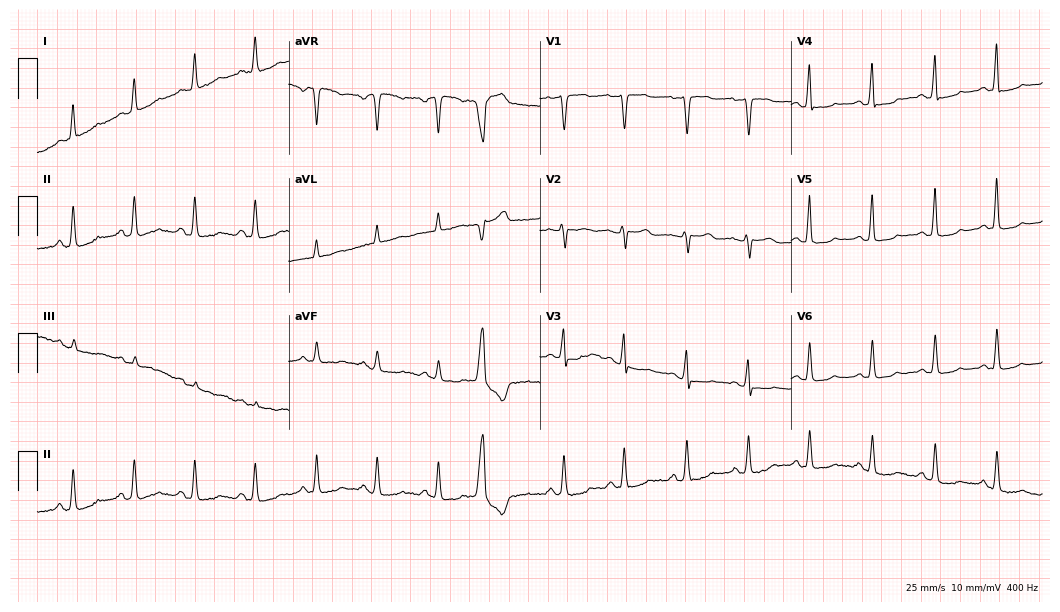
Electrocardiogram (10.2-second recording at 400 Hz), a woman, 70 years old. Of the six screened findings (first-degree AV block, right bundle branch block, left bundle branch block, sinus bradycardia, atrial fibrillation, sinus tachycardia), none is recorded. Other findings, if any, are not listed.